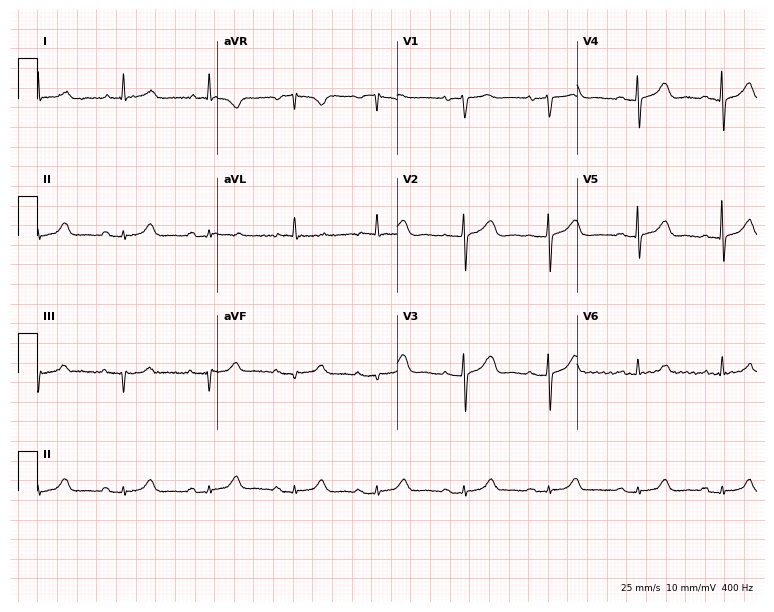
12-lead ECG from an 84-year-old female patient (7.3-second recording at 400 Hz). Recorded interpretation: within normal limits.